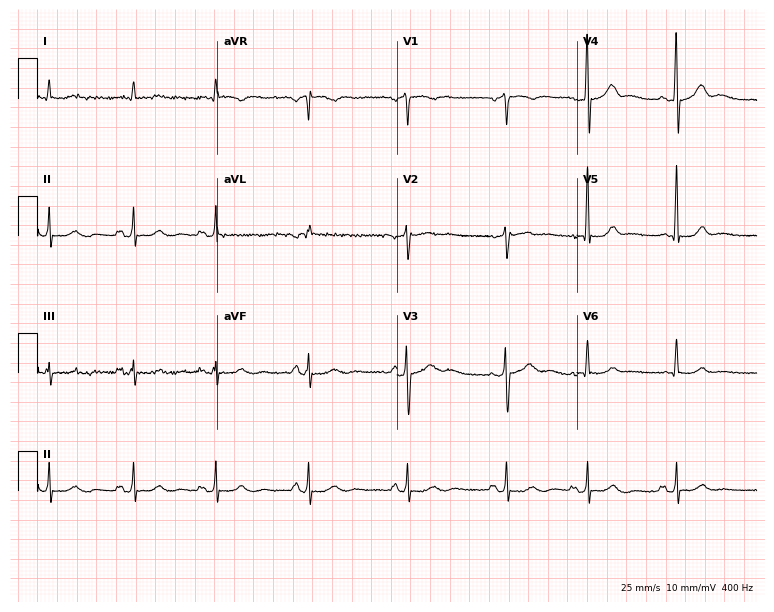
12-lead ECG from a 79-year-old male patient (7.3-second recording at 400 Hz). No first-degree AV block, right bundle branch block, left bundle branch block, sinus bradycardia, atrial fibrillation or sinus tachycardia recorded for this tracing. Other findings, if any, are not listed.